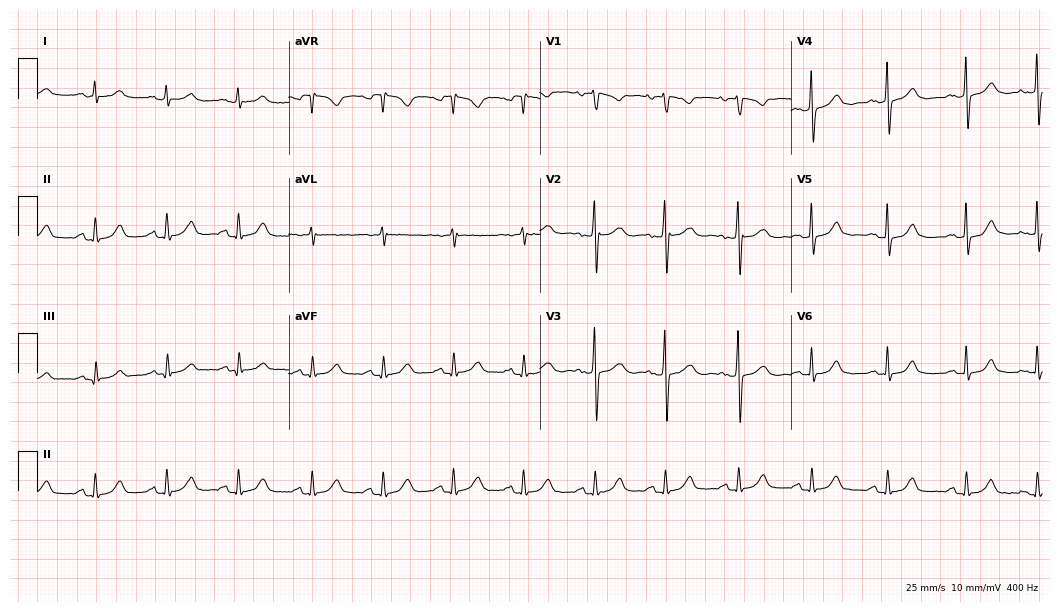
12-lead ECG (10.2-second recording at 400 Hz) from a 35-year-old female patient. Screened for six findings — first-degree AV block, right bundle branch block, left bundle branch block, sinus bradycardia, atrial fibrillation, sinus tachycardia — none is recorded. Only these six findings were labelled.